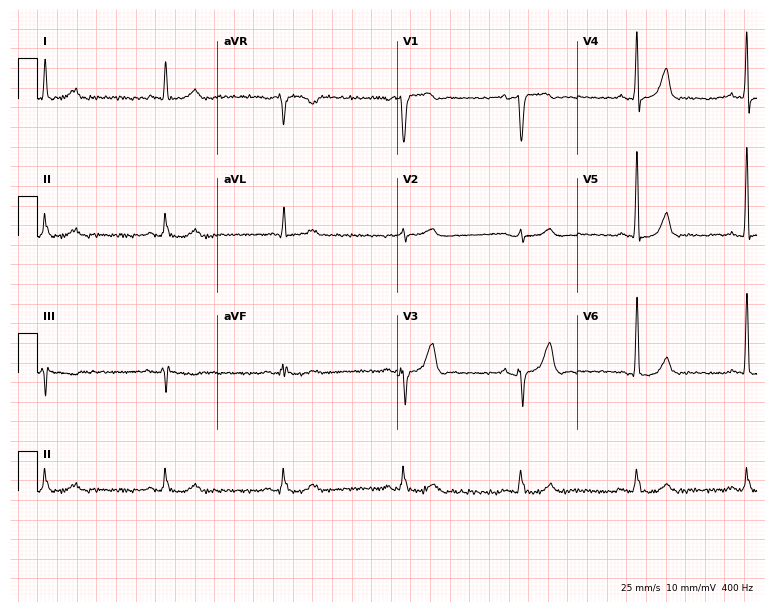
ECG (7.3-second recording at 400 Hz) — a male patient, 66 years old. Screened for six findings — first-degree AV block, right bundle branch block (RBBB), left bundle branch block (LBBB), sinus bradycardia, atrial fibrillation (AF), sinus tachycardia — none is recorded.